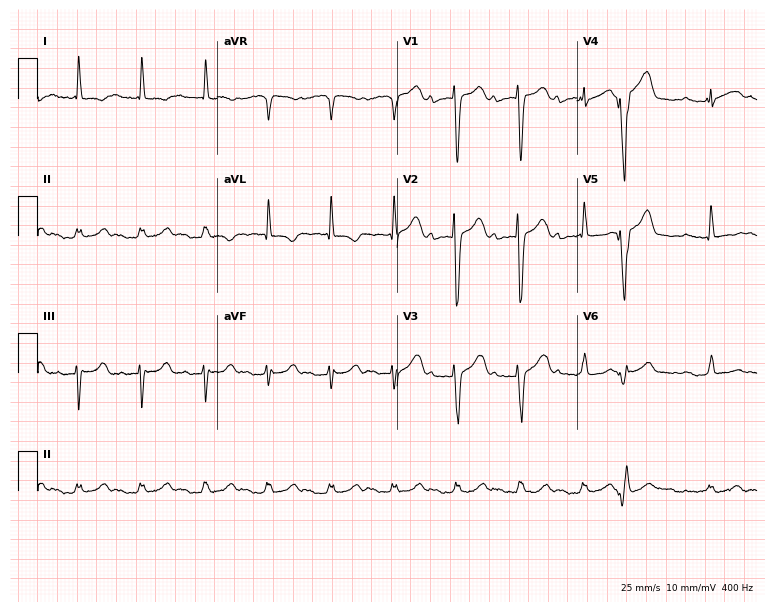
Standard 12-lead ECG recorded from a woman, 71 years old (7.3-second recording at 400 Hz). None of these six findings is recorded: first-degree AV block, right bundle branch block, left bundle branch block, sinus bradycardia, atrial fibrillation, sinus tachycardia.